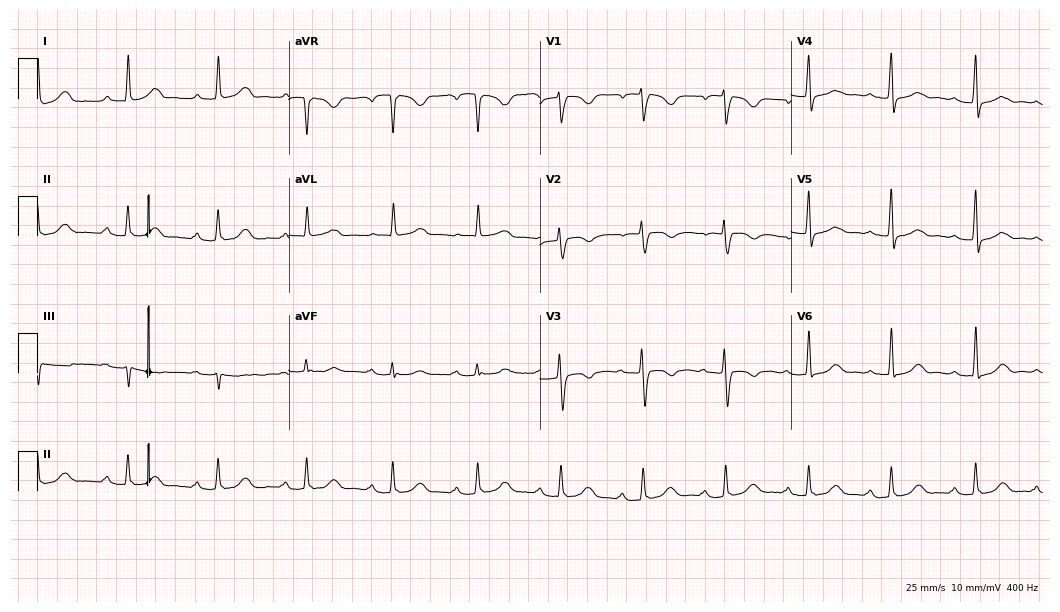
Electrocardiogram, a 64-year-old female. Interpretation includes first-degree AV block.